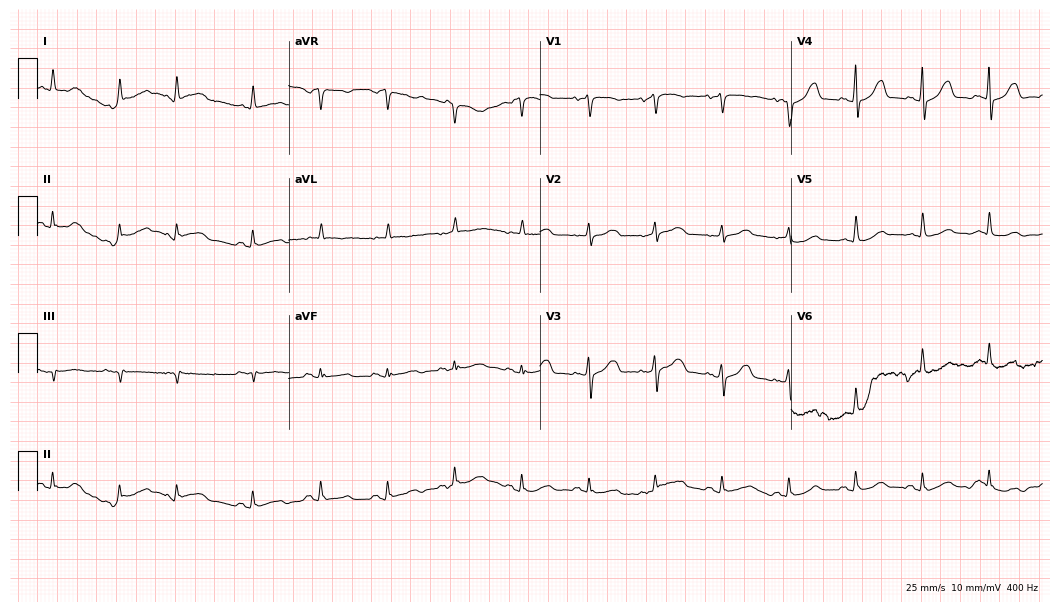
ECG (10.2-second recording at 400 Hz) — a female, 81 years old. Screened for six findings — first-degree AV block, right bundle branch block, left bundle branch block, sinus bradycardia, atrial fibrillation, sinus tachycardia — none is recorded.